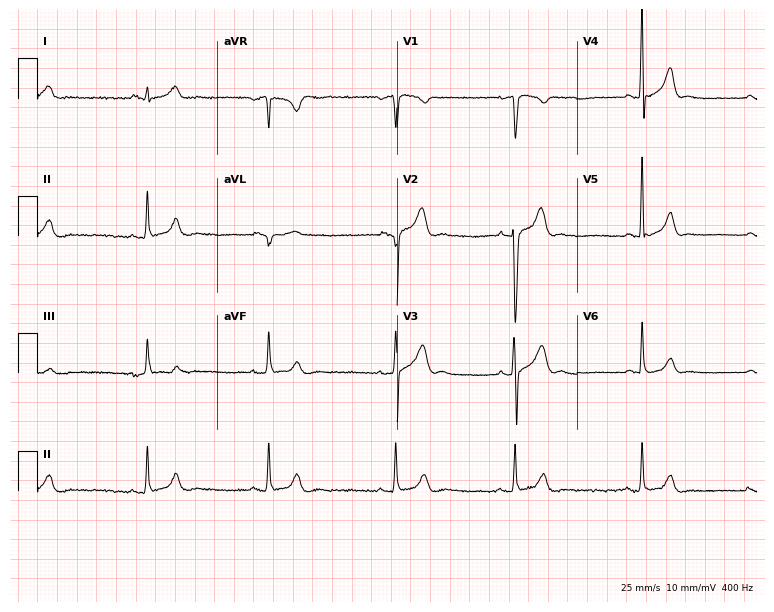
Electrocardiogram, a 29-year-old male. Interpretation includes sinus bradycardia (a sinus rate of 50 beats per minute or less).